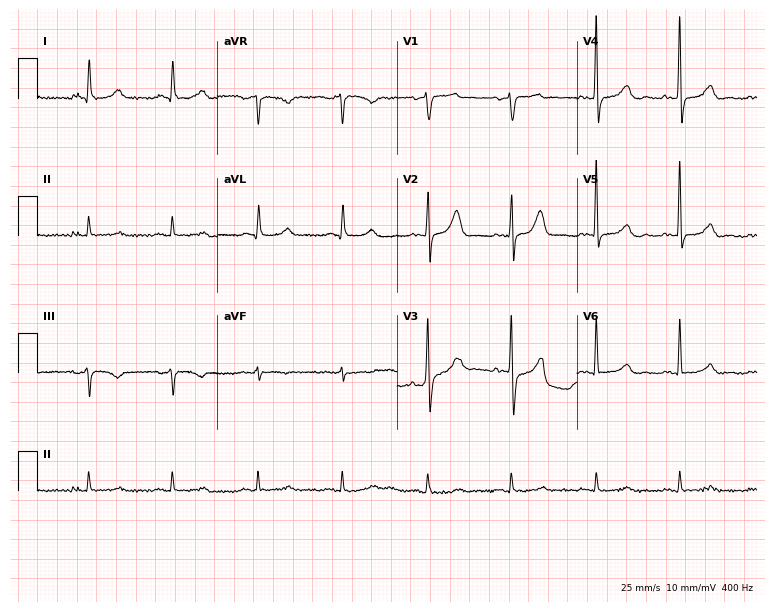
Standard 12-lead ECG recorded from a male patient, 80 years old (7.3-second recording at 400 Hz). Read as a normal ECG.